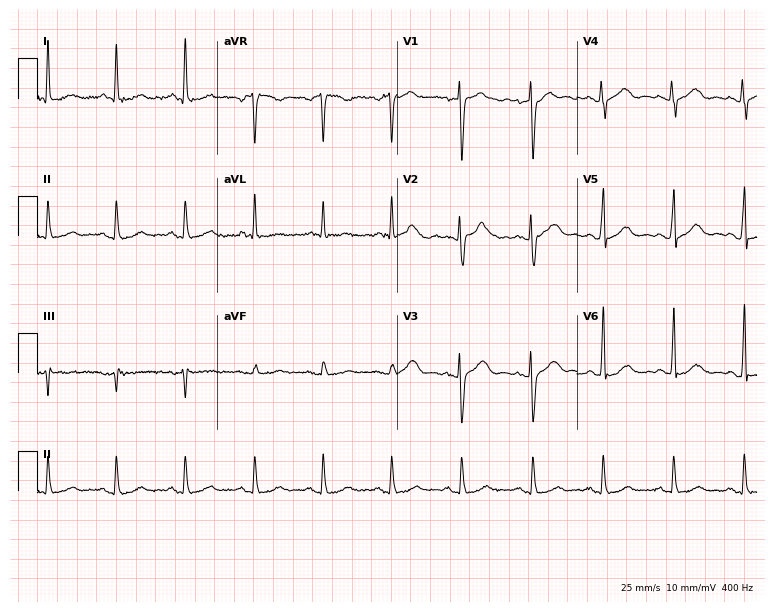
Resting 12-lead electrocardiogram. Patient: a 52-year-old woman. Read as a normal ECG.